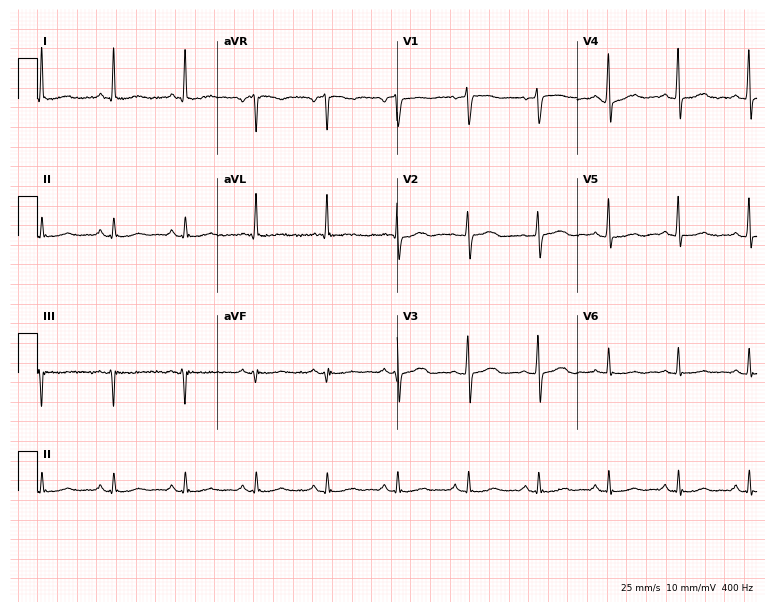
Standard 12-lead ECG recorded from a 64-year-old female (7.3-second recording at 400 Hz). Read as a normal ECG.